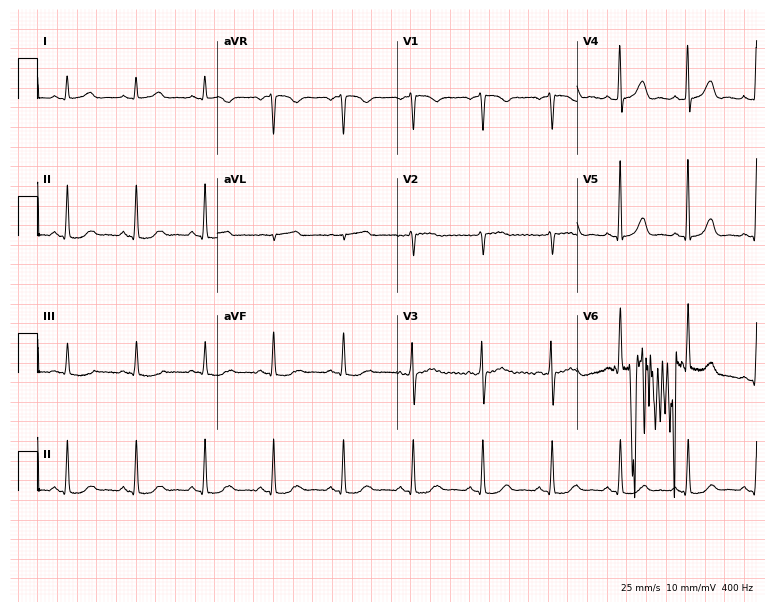
Electrocardiogram (7.3-second recording at 400 Hz), a 56-year-old female. Overall reading on record: normal ECG.